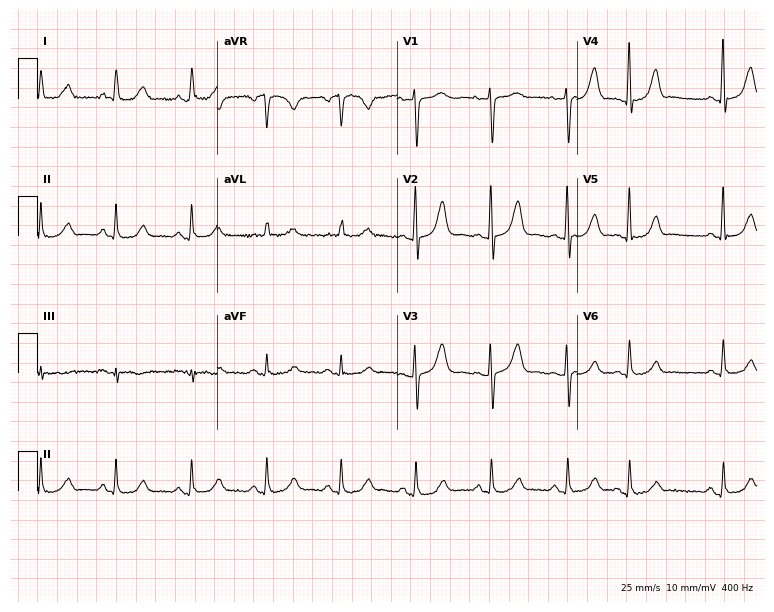
Resting 12-lead electrocardiogram (7.3-second recording at 400 Hz). Patient: a female, 60 years old. Read as a normal ECG.